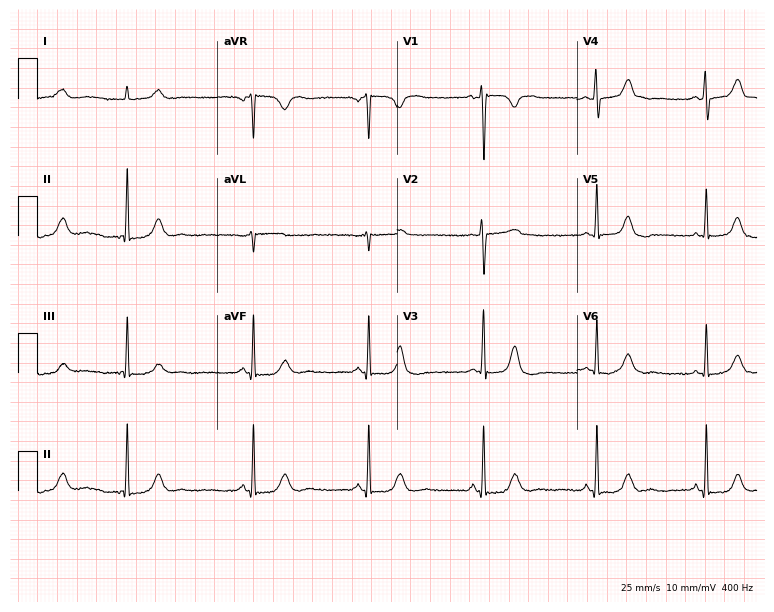
Electrocardiogram, a 67-year-old female patient. Overall reading on record: normal ECG.